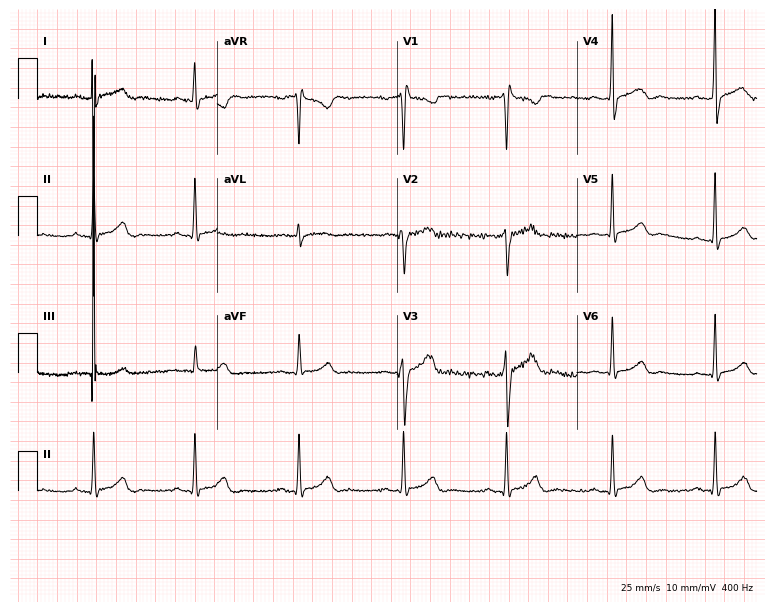
Standard 12-lead ECG recorded from a 55-year-old male patient. None of these six findings is recorded: first-degree AV block, right bundle branch block (RBBB), left bundle branch block (LBBB), sinus bradycardia, atrial fibrillation (AF), sinus tachycardia. Other findings, if any, are not listed.